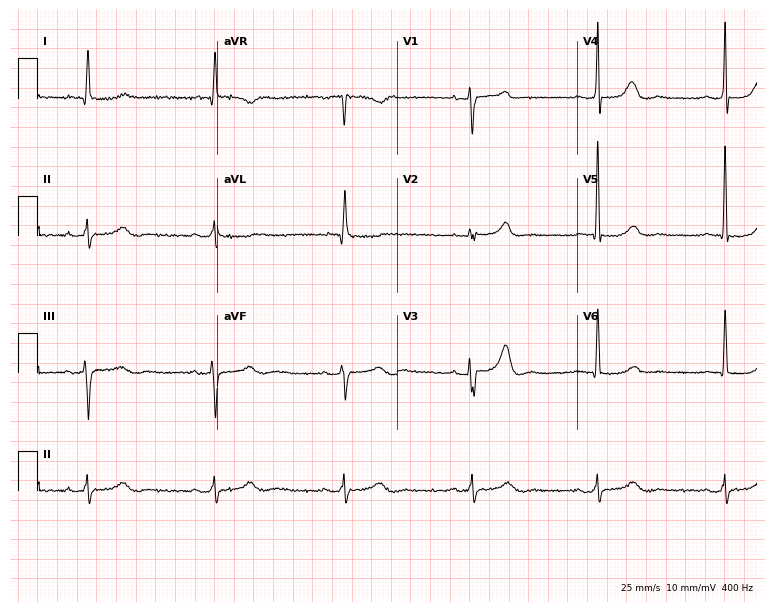
ECG — a 73-year-old female patient. Findings include sinus bradycardia (a sinus rate of 50 beats per minute or less).